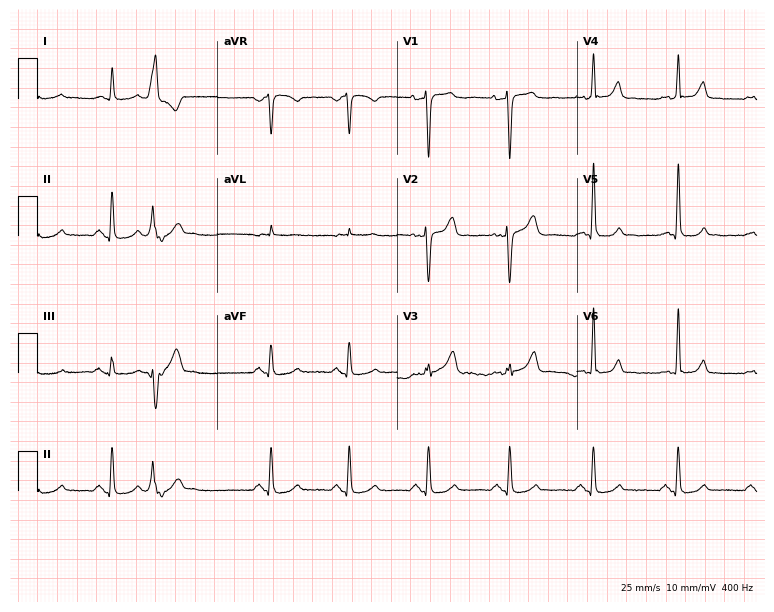
Standard 12-lead ECG recorded from a female, 48 years old (7.3-second recording at 400 Hz). None of these six findings is recorded: first-degree AV block, right bundle branch block, left bundle branch block, sinus bradycardia, atrial fibrillation, sinus tachycardia. Other findings, if any, are not listed.